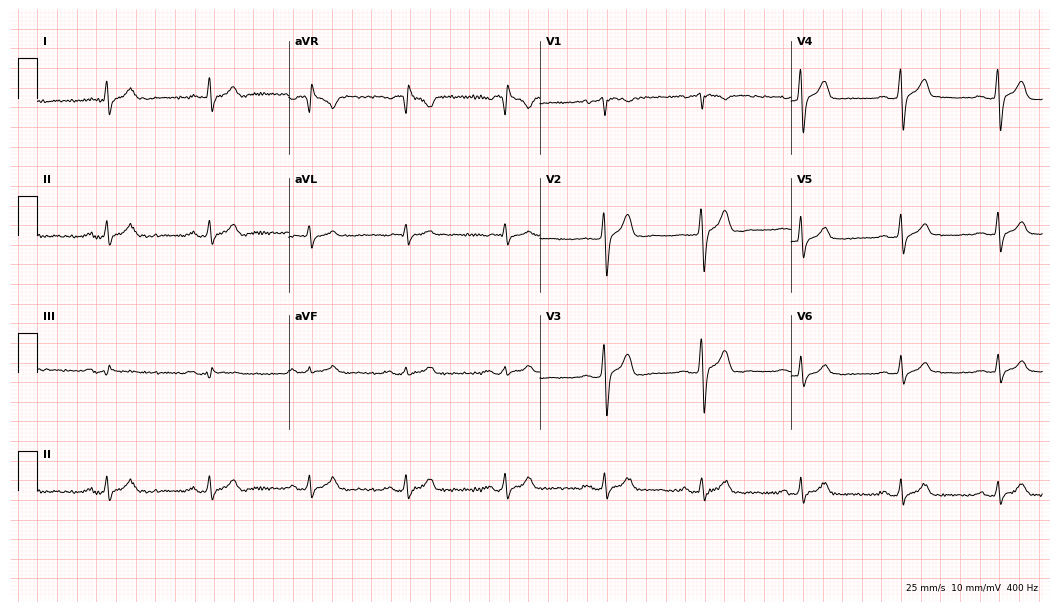
12-lead ECG from a 42-year-old man. No first-degree AV block, right bundle branch block, left bundle branch block, sinus bradycardia, atrial fibrillation or sinus tachycardia recorded for this tracing.